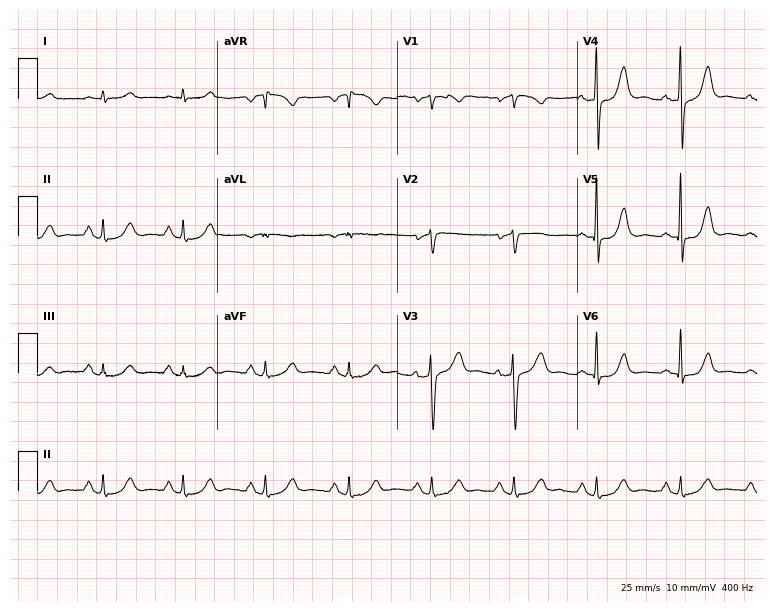
12-lead ECG from a female, 57 years old. Recorded interpretation: within normal limits.